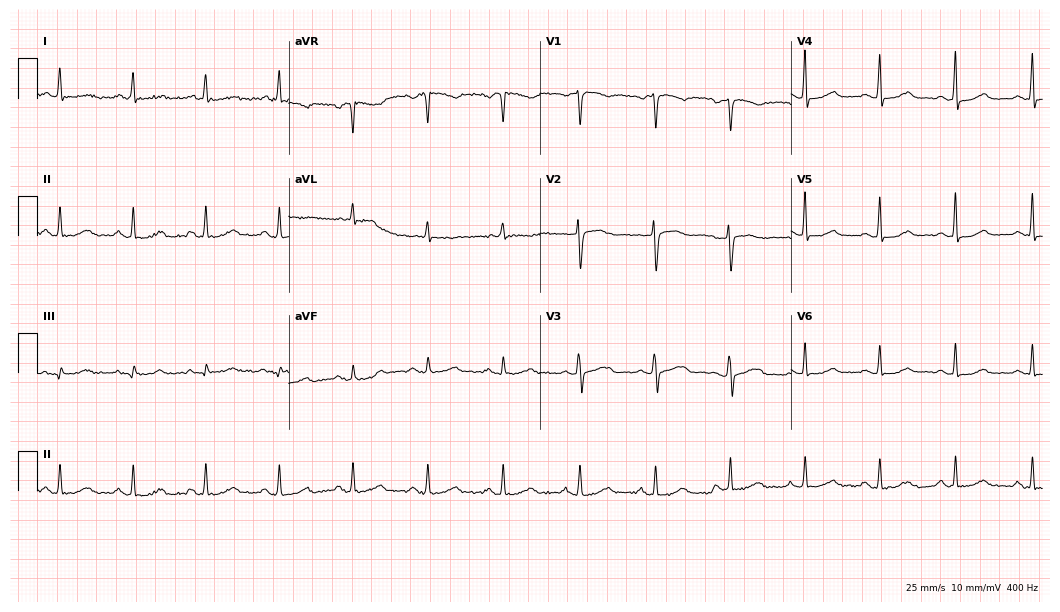
Standard 12-lead ECG recorded from a 52-year-old male patient (10.2-second recording at 400 Hz). None of these six findings is recorded: first-degree AV block, right bundle branch block (RBBB), left bundle branch block (LBBB), sinus bradycardia, atrial fibrillation (AF), sinus tachycardia. Other findings, if any, are not listed.